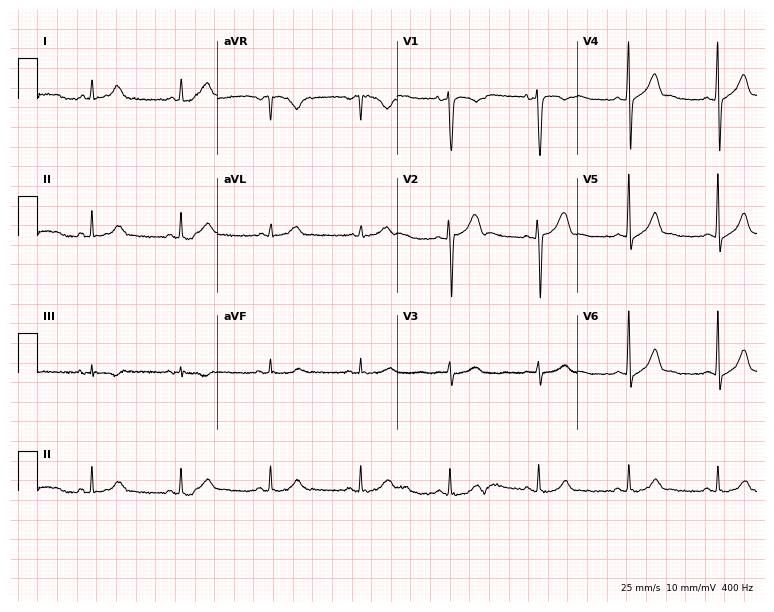
12-lead ECG from a 25-year-old man (7.3-second recording at 400 Hz). Recorded interpretation: within normal limits.